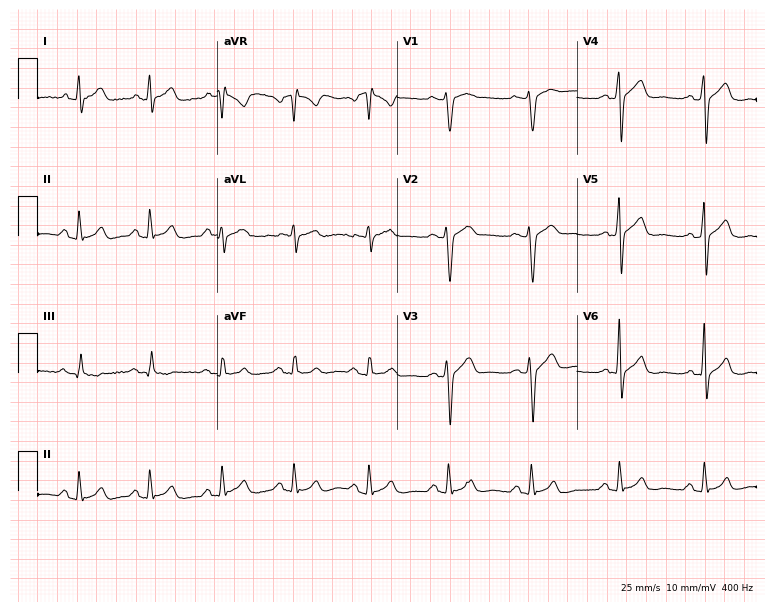
Standard 12-lead ECG recorded from a 28-year-old female. None of these six findings is recorded: first-degree AV block, right bundle branch block, left bundle branch block, sinus bradycardia, atrial fibrillation, sinus tachycardia.